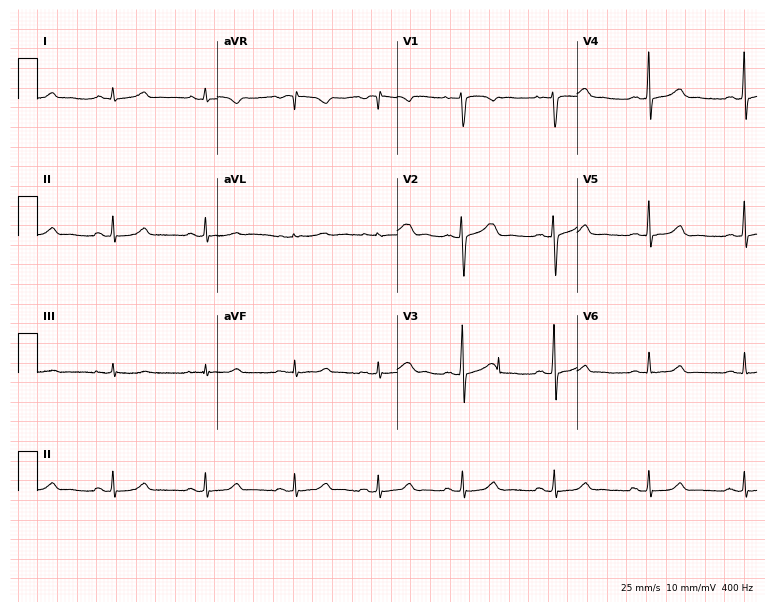
Resting 12-lead electrocardiogram (7.3-second recording at 400 Hz). Patient: a female, 35 years old. None of these six findings is recorded: first-degree AV block, right bundle branch block, left bundle branch block, sinus bradycardia, atrial fibrillation, sinus tachycardia.